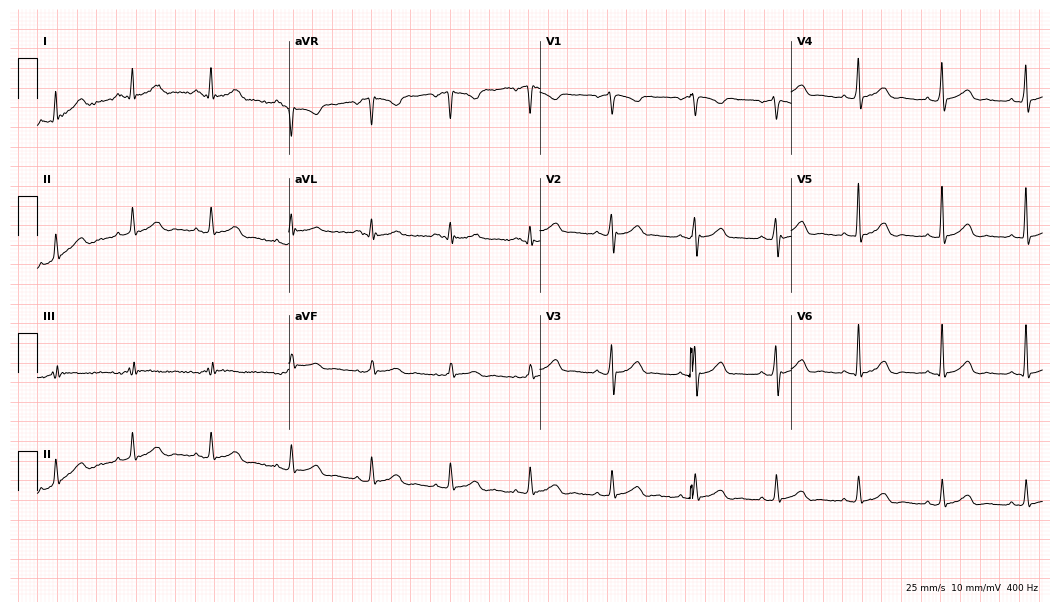
12-lead ECG (10.2-second recording at 400 Hz) from a 23-year-old female. Screened for six findings — first-degree AV block, right bundle branch block, left bundle branch block, sinus bradycardia, atrial fibrillation, sinus tachycardia — none is recorded. Findings outside these six are not listed.